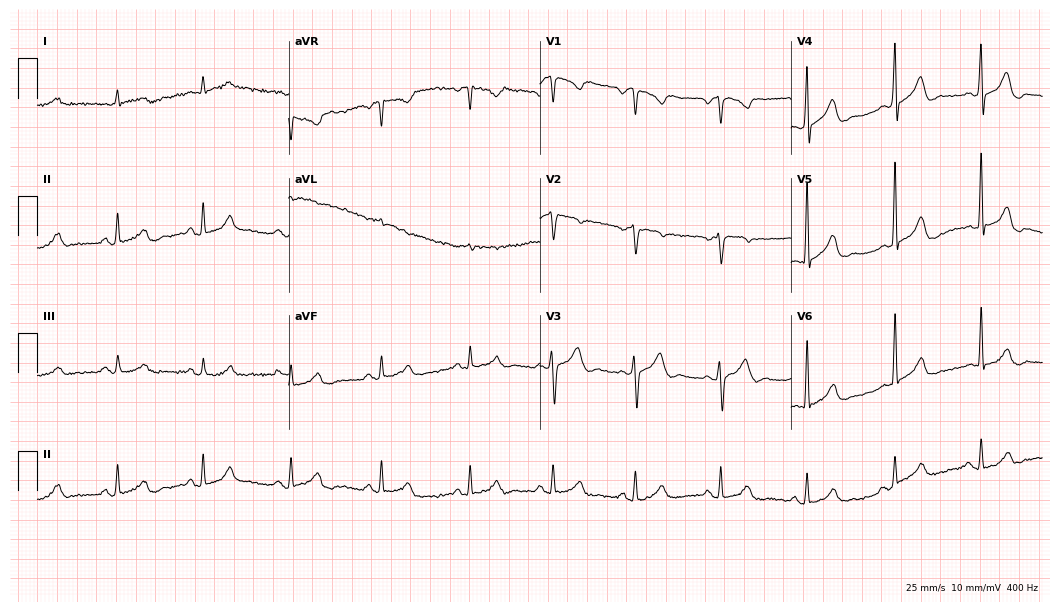
12-lead ECG from a man, 64 years old (10.2-second recording at 400 Hz). No first-degree AV block, right bundle branch block, left bundle branch block, sinus bradycardia, atrial fibrillation or sinus tachycardia recorded for this tracing. Other findings, if any, are not listed.